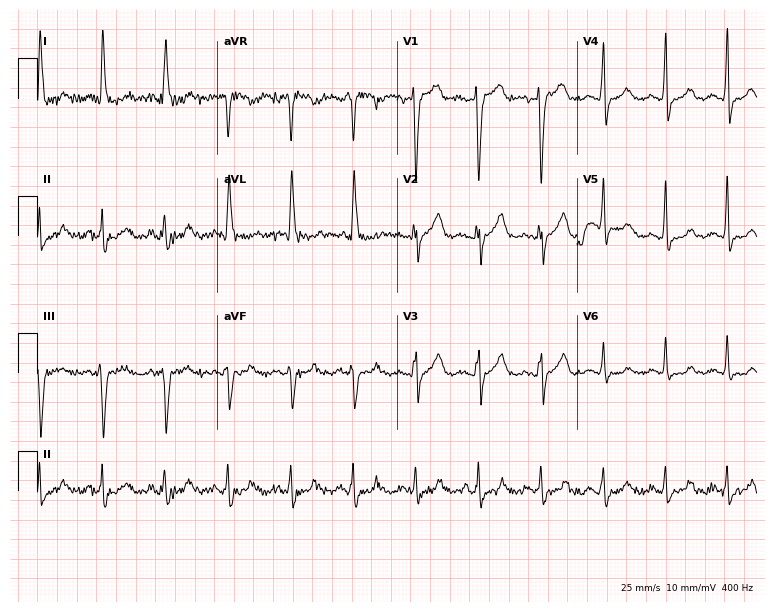
12-lead ECG from a 66-year-old woman. Recorded interpretation: within normal limits.